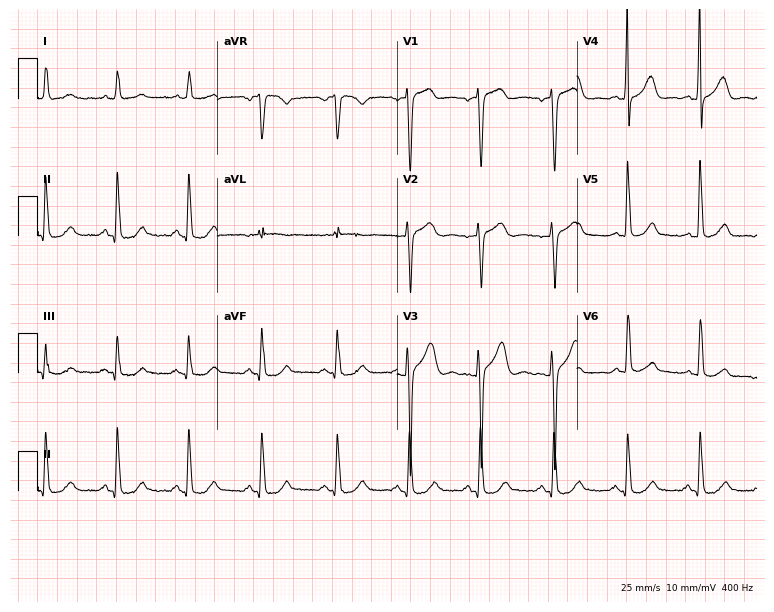
12-lead ECG from a woman, 78 years old. No first-degree AV block, right bundle branch block, left bundle branch block, sinus bradycardia, atrial fibrillation or sinus tachycardia recorded for this tracing. Findings outside these six are not listed.